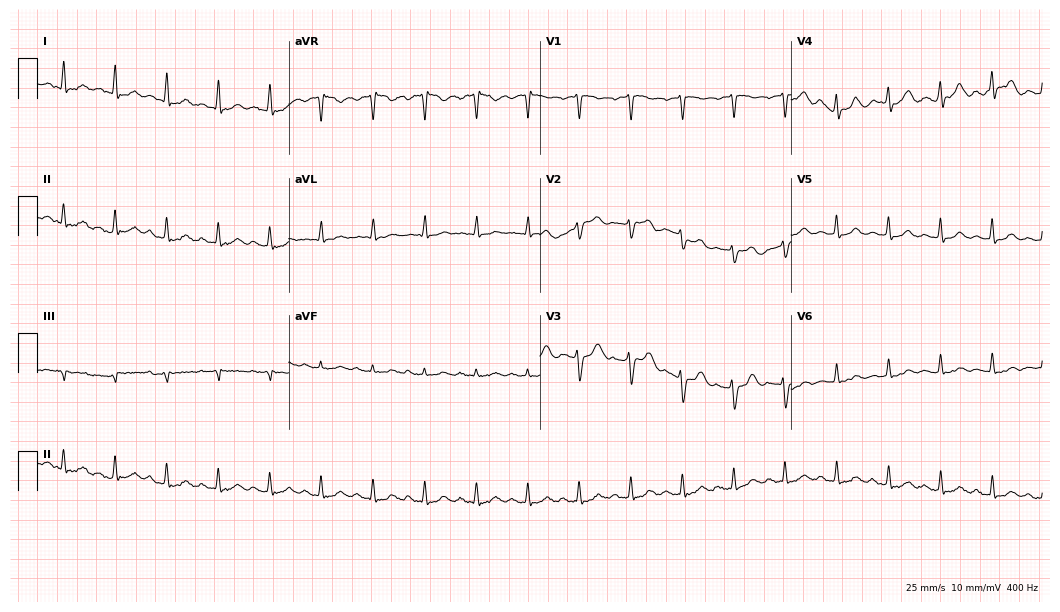
Resting 12-lead electrocardiogram (10.2-second recording at 400 Hz). Patient: a 51-year-old woman. The tracing shows sinus tachycardia (a sinus rate of 100 beats per minute or more).